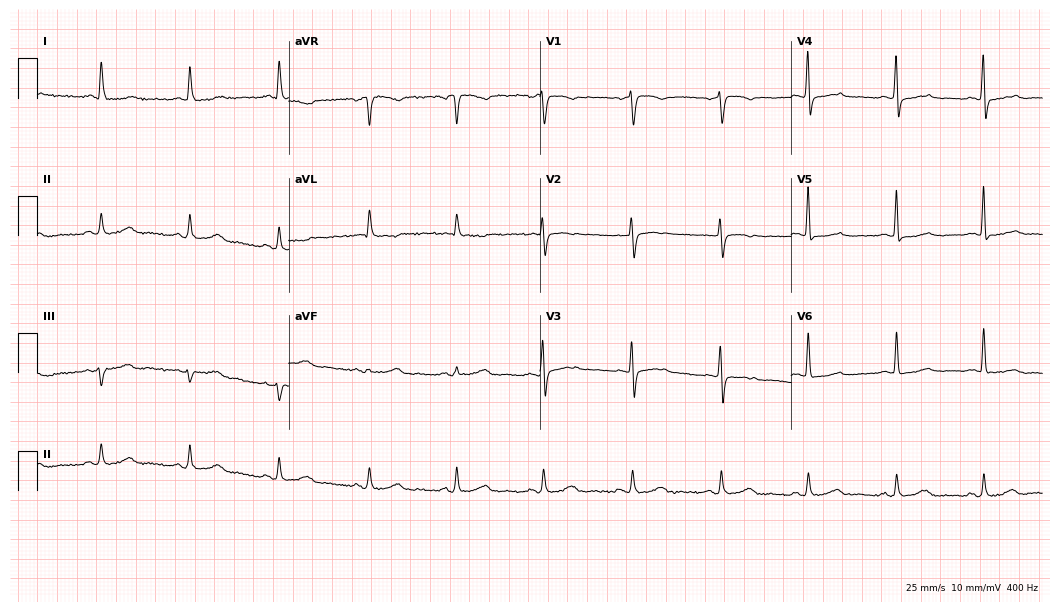
Standard 12-lead ECG recorded from a 65-year-old female patient (10.2-second recording at 400 Hz). None of these six findings is recorded: first-degree AV block, right bundle branch block (RBBB), left bundle branch block (LBBB), sinus bradycardia, atrial fibrillation (AF), sinus tachycardia.